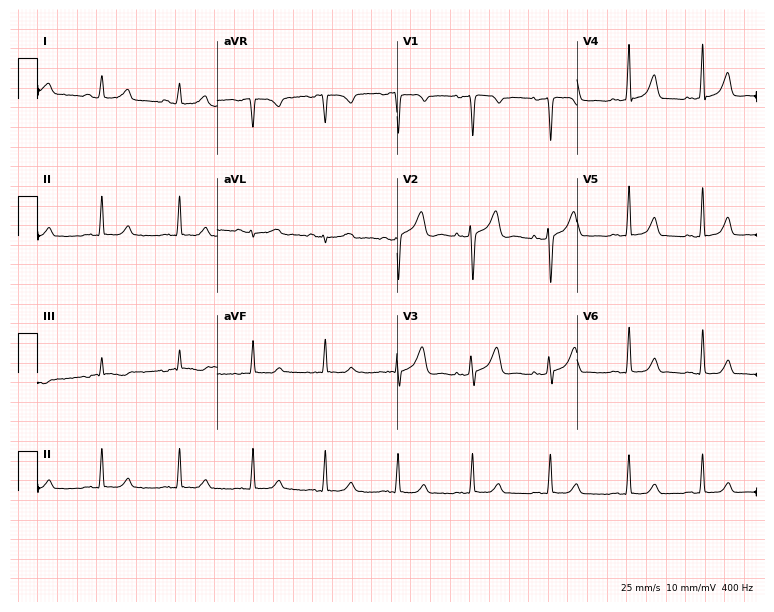
Standard 12-lead ECG recorded from a 39-year-old woman. None of these six findings is recorded: first-degree AV block, right bundle branch block, left bundle branch block, sinus bradycardia, atrial fibrillation, sinus tachycardia. Only these six findings were labelled.